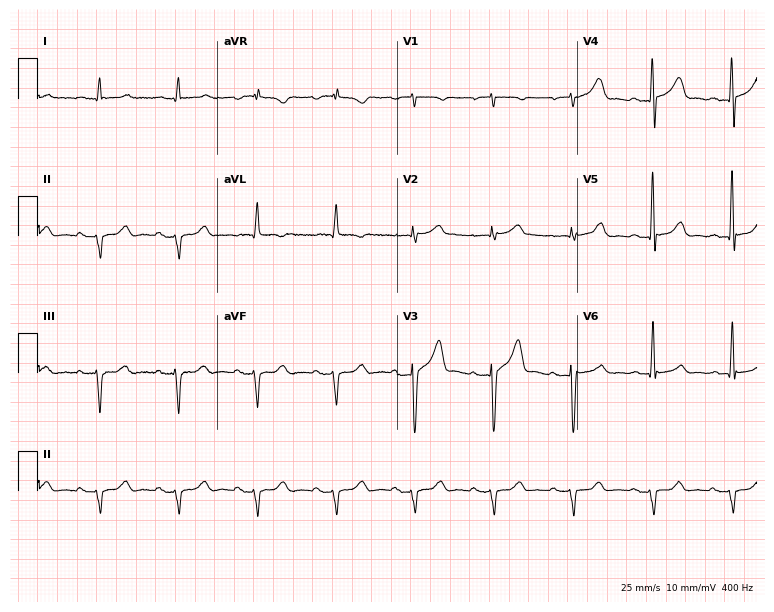
12-lead ECG from a man, 59 years old (7.3-second recording at 400 Hz). No first-degree AV block, right bundle branch block, left bundle branch block, sinus bradycardia, atrial fibrillation or sinus tachycardia recorded for this tracing.